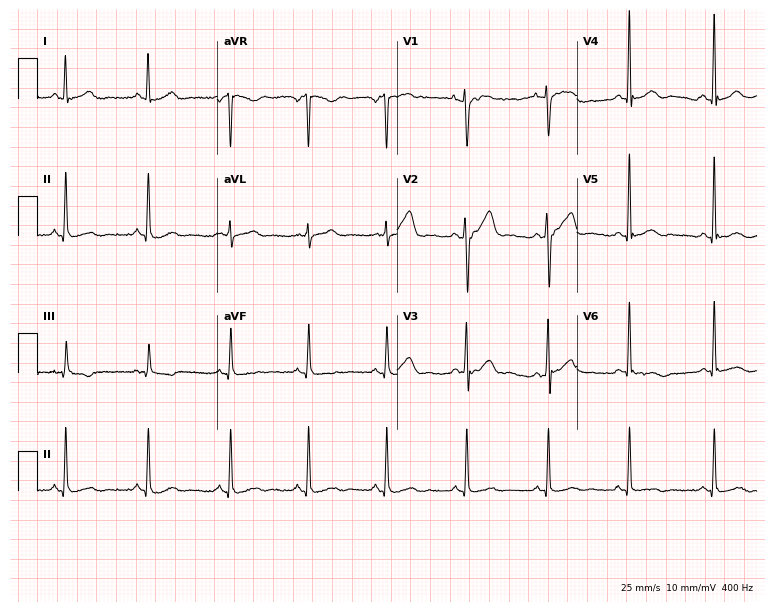
12-lead ECG from a 43-year-old male (7.3-second recording at 400 Hz). No first-degree AV block, right bundle branch block, left bundle branch block, sinus bradycardia, atrial fibrillation or sinus tachycardia recorded for this tracing. Findings outside these six are not listed.